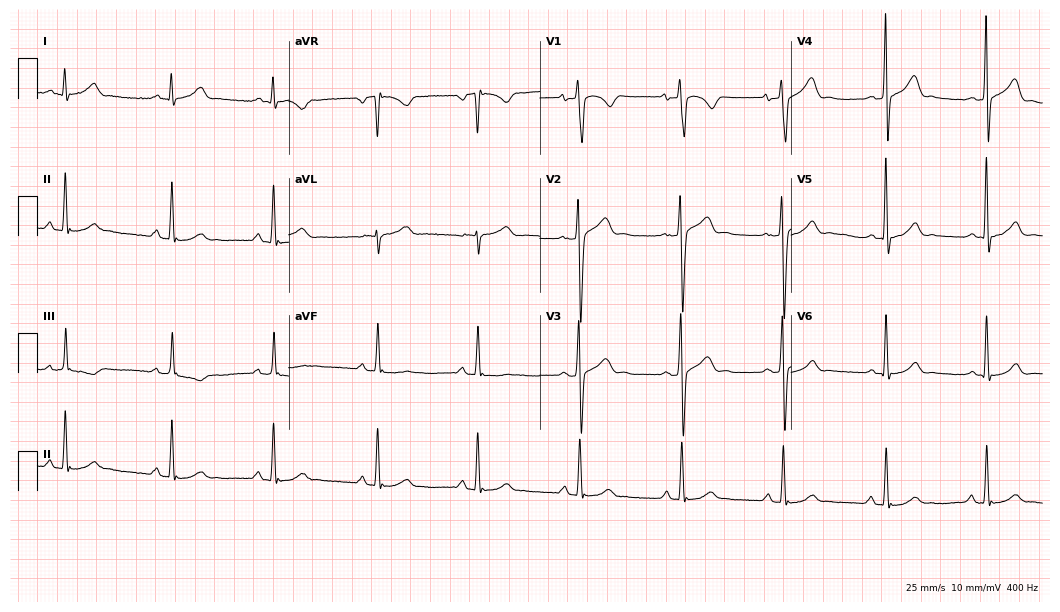
Standard 12-lead ECG recorded from a 45-year-old male patient. None of these six findings is recorded: first-degree AV block, right bundle branch block, left bundle branch block, sinus bradycardia, atrial fibrillation, sinus tachycardia.